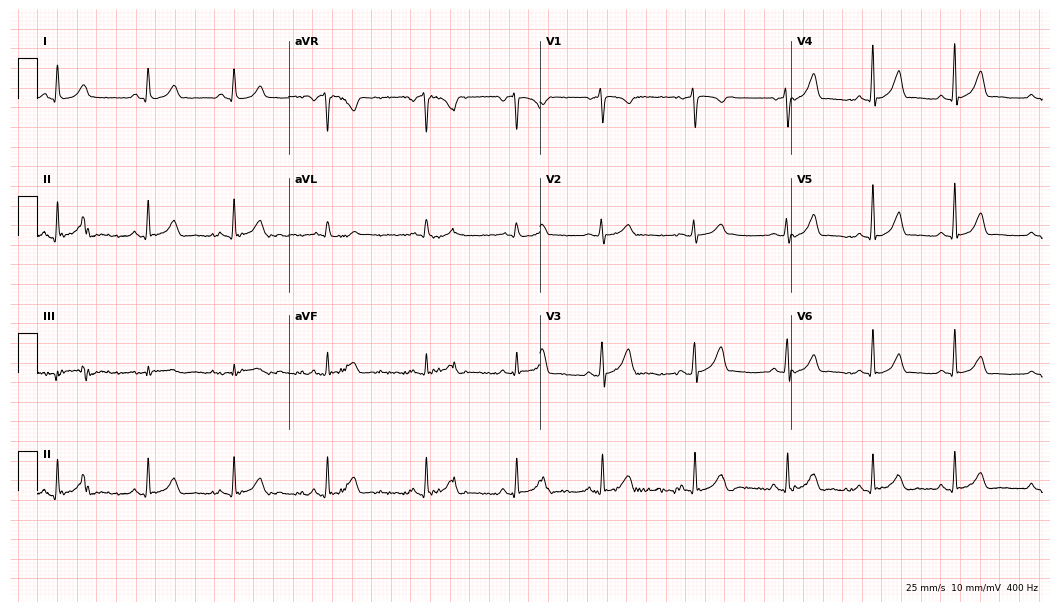
Standard 12-lead ECG recorded from a female patient, 29 years old (10.2-second recording at 400 Hz). Read as a normal ECG.